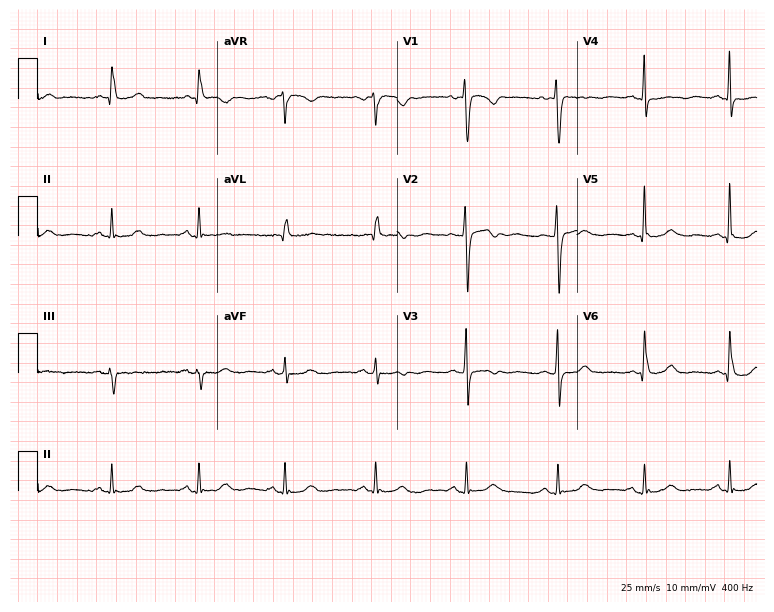
12-lead ECG from a 59-year-old female. No first-degree AV block, right bundle branch block, left bundle branch block, sinus bradycardia, atrial fibrillation or sinus tachycardia recorded for this tracing.